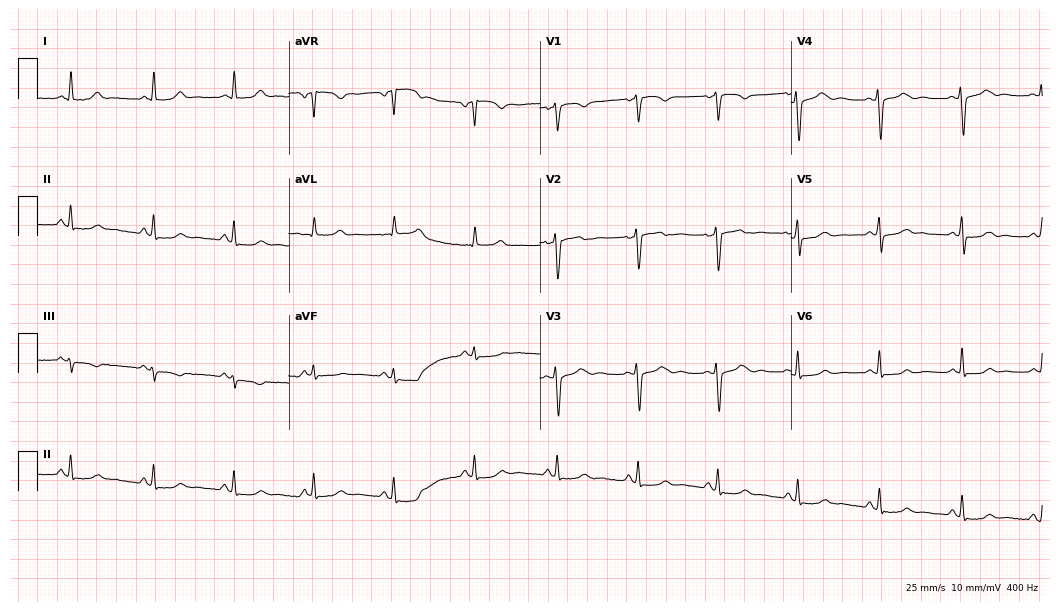
Standard 12-lead ECG recorded from a female, 46 years old. Read as a normal ECG.